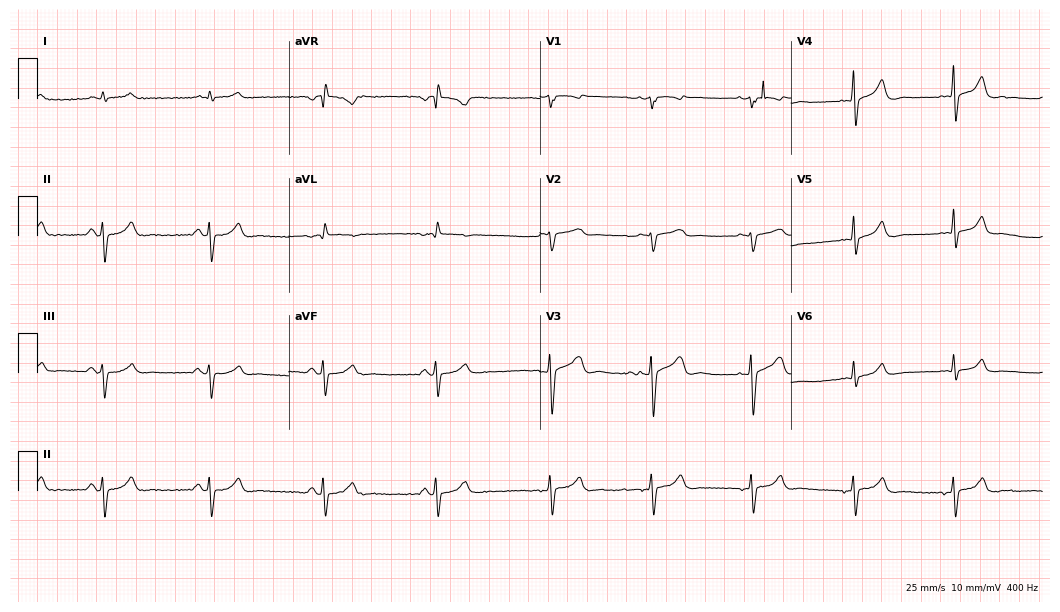
Standard 12-lead ECG recorded from a man, 76 years old. None of these six findings is recorded: first-degree AV block, right bundle branch block, left bundle branch block, sinus bradycardia, atrial fibrillation, sinus tachycardia. Other findings, if any, are not listed.